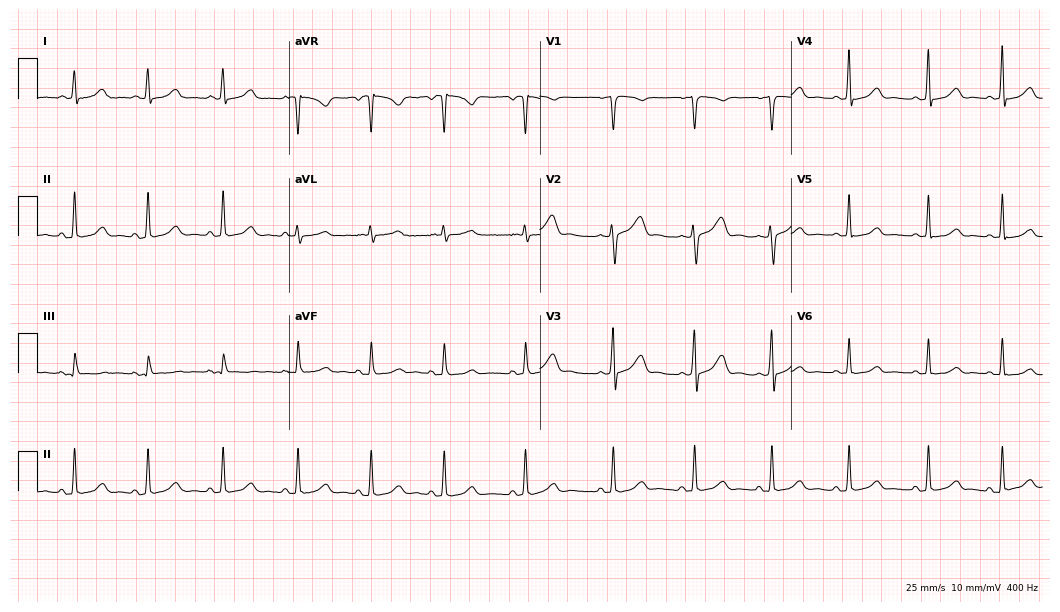
12-lead ECG (10.2-second recording at 400 Hz) from a 32-year-old female. Labelled as a normal ECG.